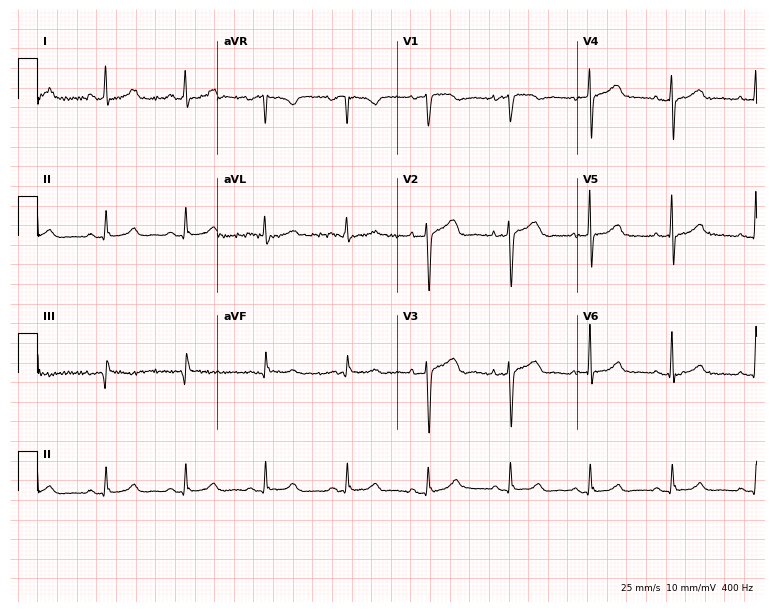
Electrocardiogram, a 50-year-old woman. Overall reading on record: normal ECG.